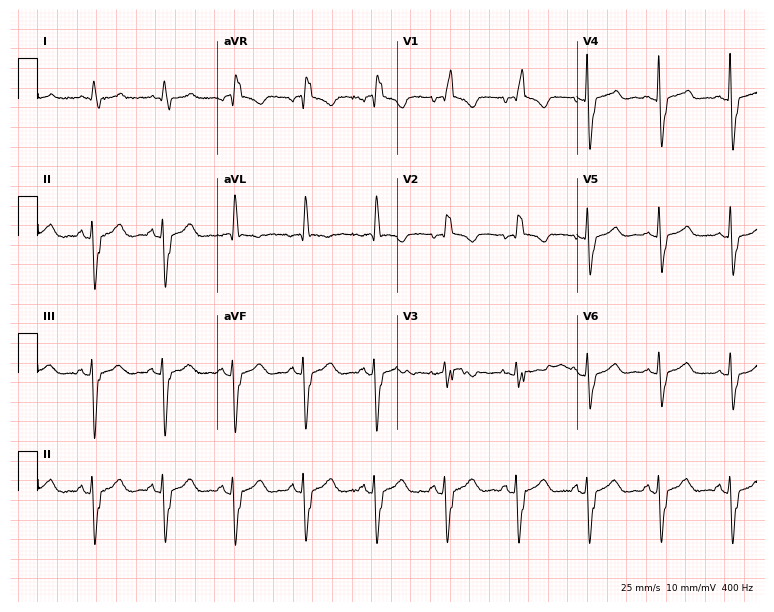
12-lead ECG from a woman, 82 years old. Screened for six findings — first-degree AV block, right bundle branch block, left bundle branch block, sinus bradycardia, atrial fibrillation, sinus tachycardia — none is recorded.